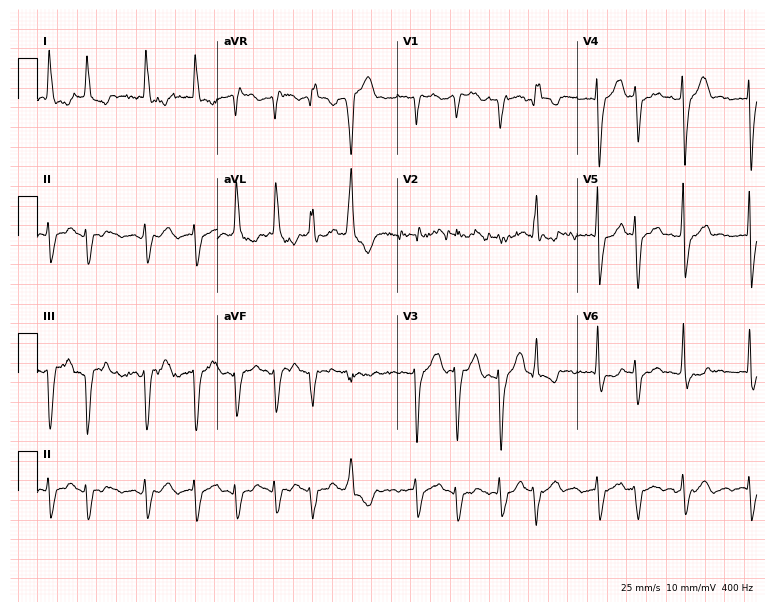
Electrocardiogram (7.3-second recording at 400 Hz), a 77-year-old female patient. Interpretation includes atrial fibrillation.